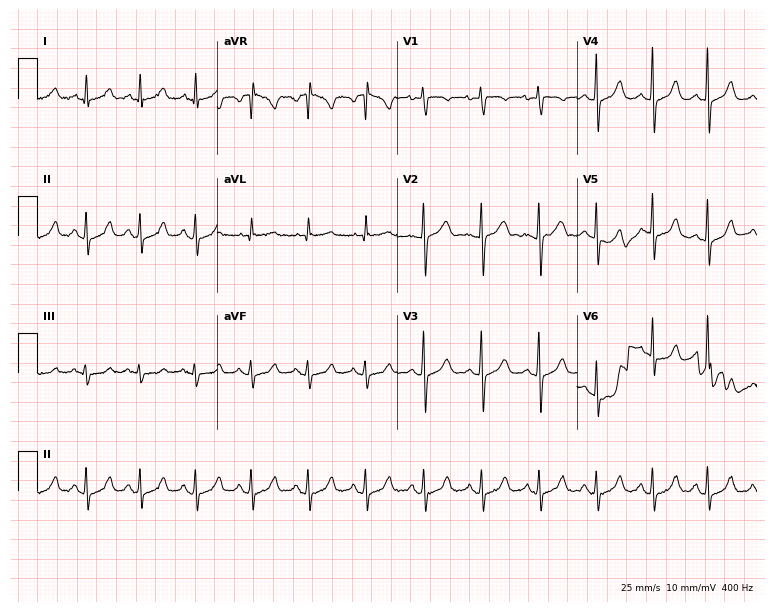
ECG (7.3-second recording at 400 Hz) — a female patient, 22 years old. Screened for six findings — first-degree AV block, right bundle branch block, left bundle branch block, sinus bradycardia, atrial fibrillation, sinus tachycardia — none is recorded. Other findings, if any, are not listed.